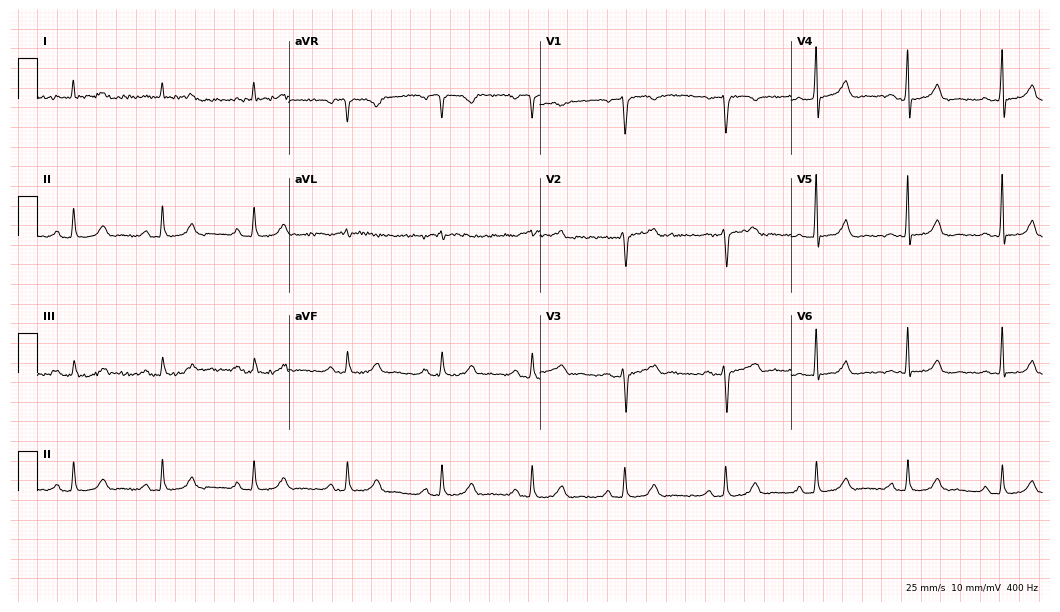
Standard 12-lead ECG recorded from a man, 64 years old. Read as a normal ECG.